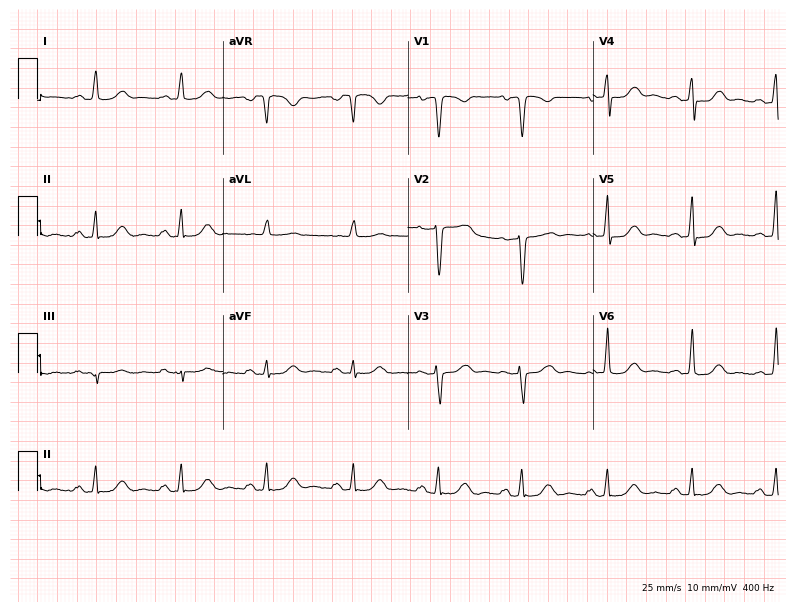
Electrocardiogram, a 70-year-old woman. Of the six screened findings (first-degree AV block, right bundle branch block (RBBB), left bundle branch block (LBBB), sinus bradycardia, atrial fibrillation (AF), sinus tachycardia), none is recorded. Findings outside these six are not listed.